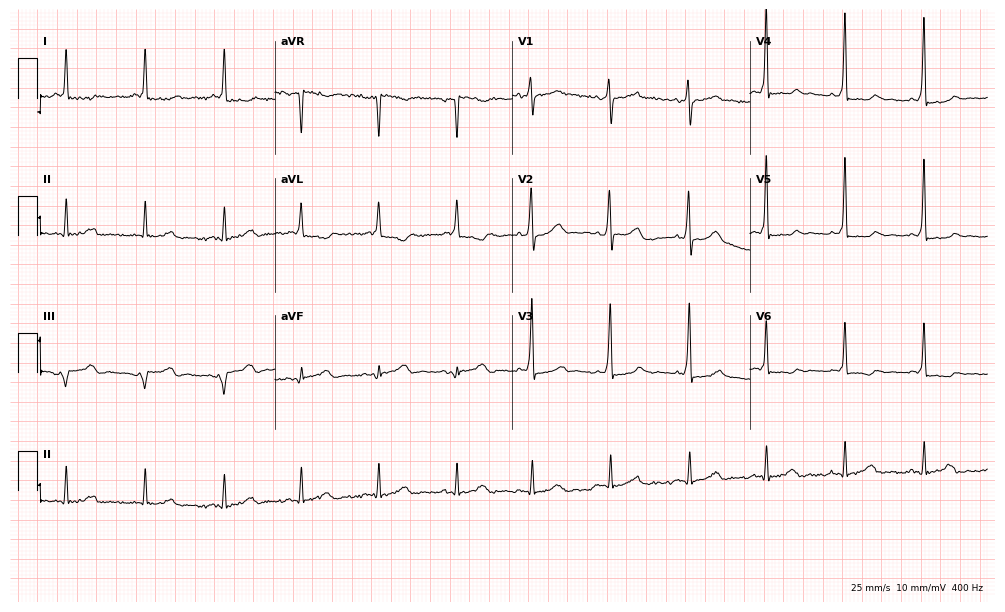
ECG — a 55-year-old female. Screened for six findings — first-degree AV block, right bundle branch block (RBBB), left bundle branch block (LBBB), sinus bradycardia, atrial fibrillation (AF), sinus tachycardia — none is recorded.